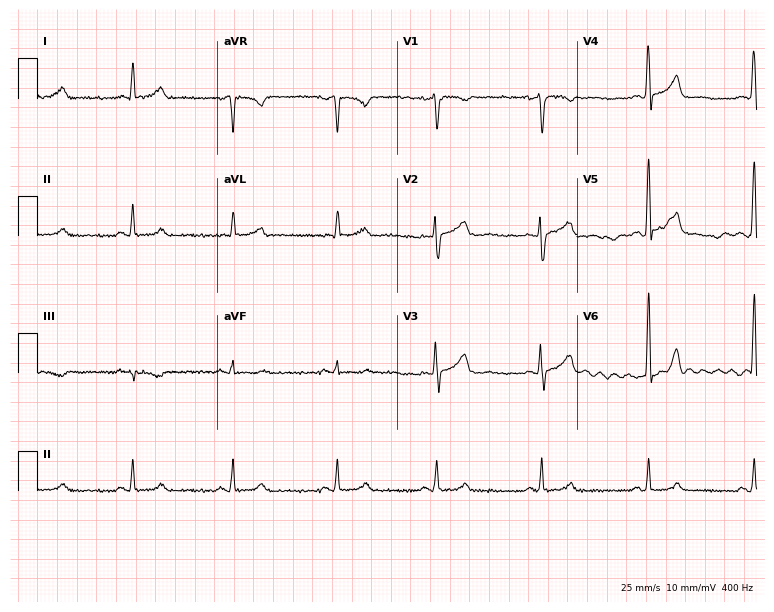
Standard 12-lead ECG recorded from a 43-year-old female. None of these six findings is recorded: first-degree AV block, right bundle branch block, left bundle branch block, sinus bradycardia, atrial fibrillation, sinus tachycardia.